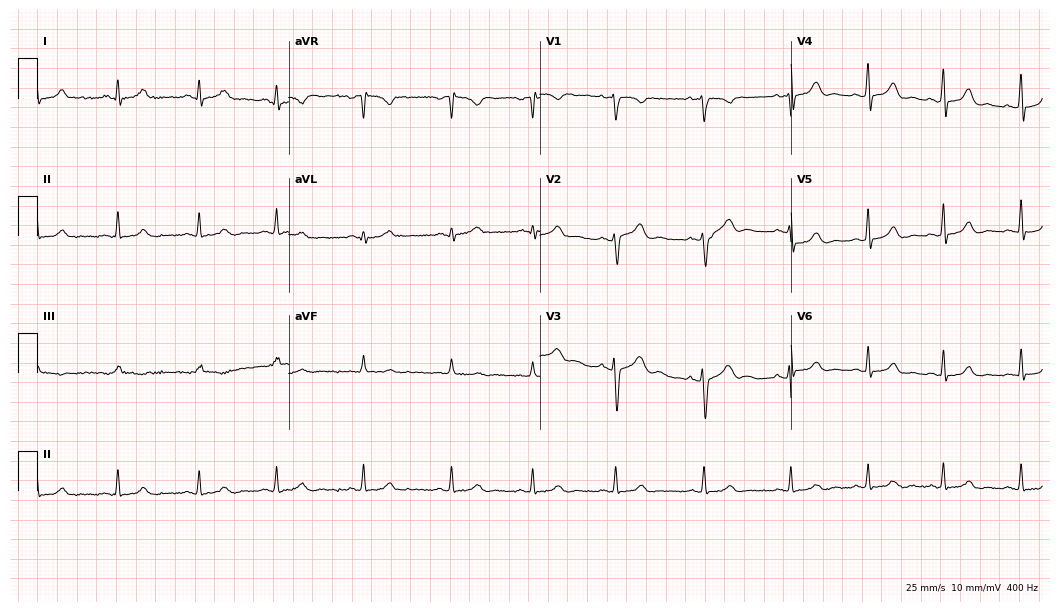
Standard 12-lead ECG recorded from a 27-year-old female patient. Read as a normal ECG.